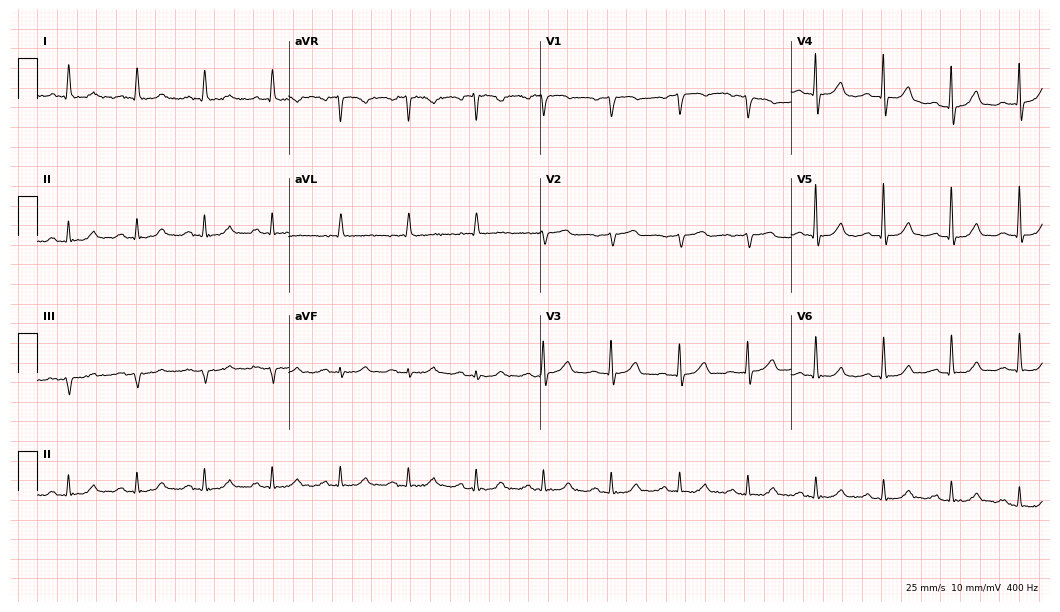
Resting 12-lead electrocardiogram. Patient: a 78-year-old woman. Read as a normal ECG.